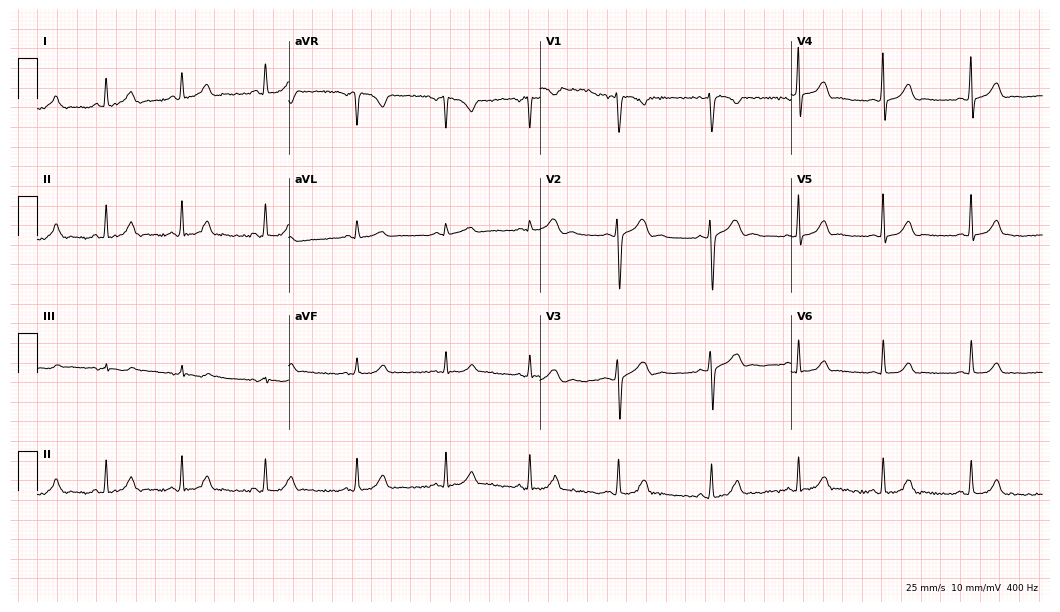
Resting 12-lead electrocardiogram (10.2-second recording at 400 Hz). Patient: a female, 20 years old. Read as a normal ECG.